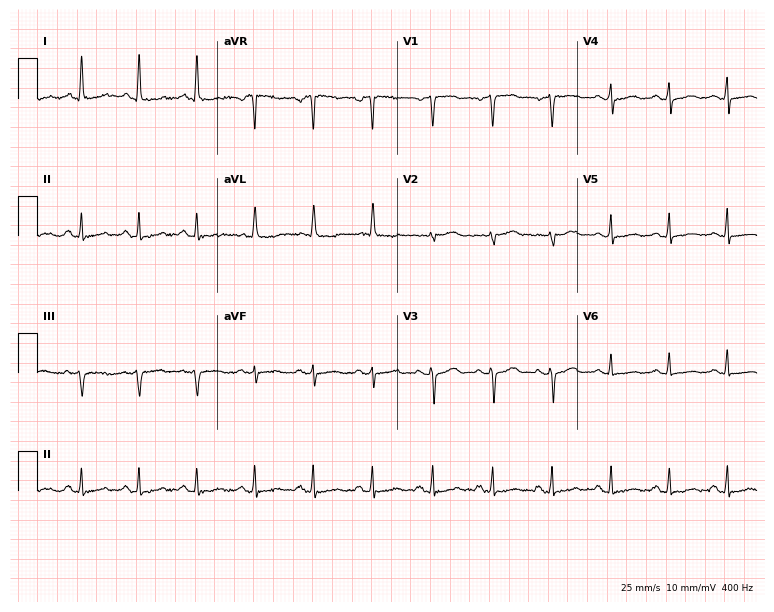
Resting 12-lead electrocardiogram. Patient: a woman, 55 years old. The tracing shows sinus tachycardia (a sinus rate of 100 beats per minute or more).